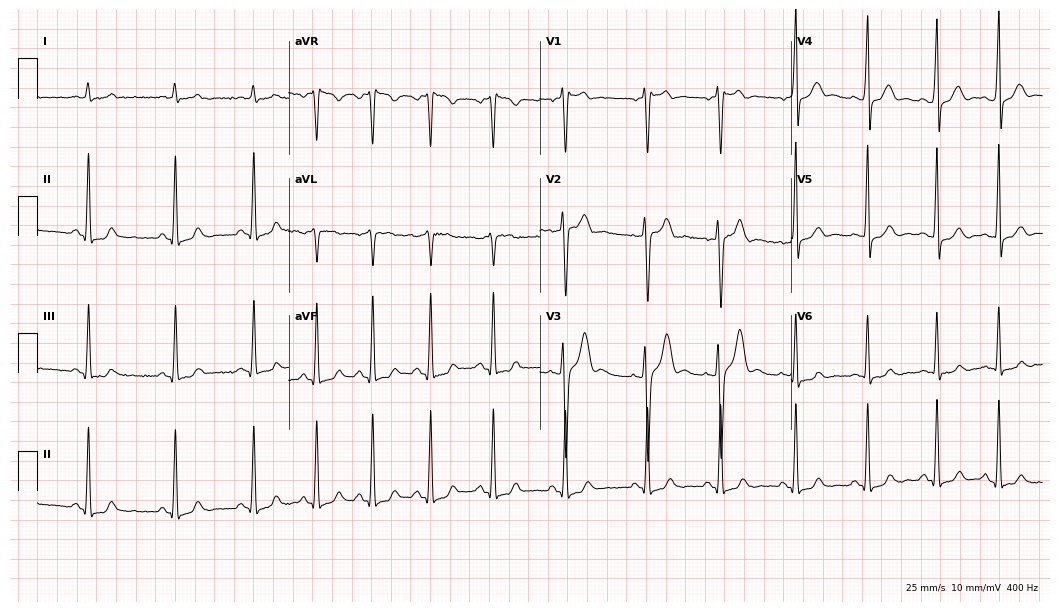
12-lead ECG (10.2-second recording at 400 Hz) from a 22-year-old man. Labelled as a normal ECG.